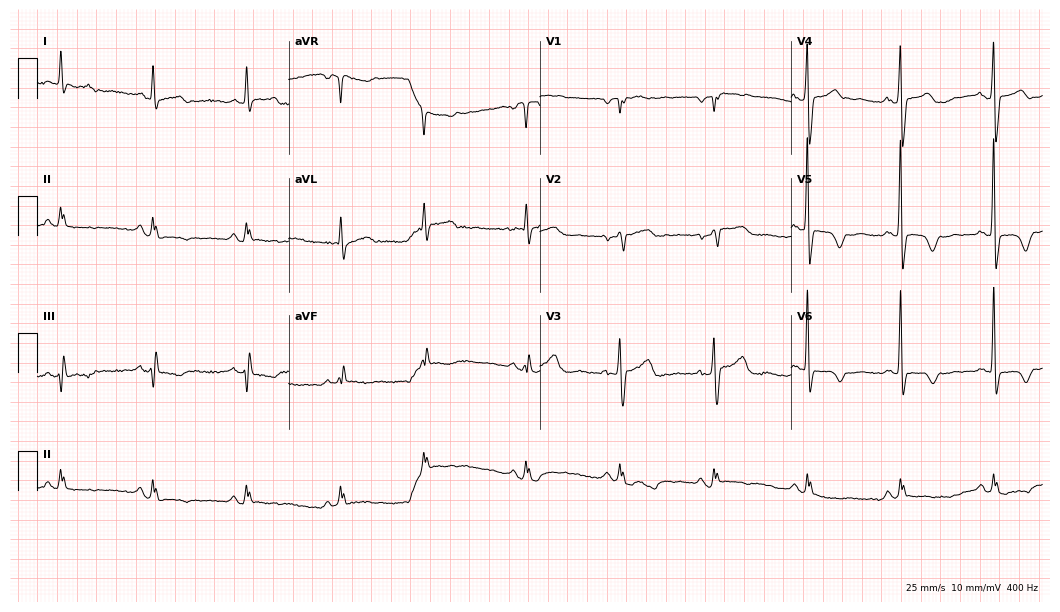
ECG — an 80-year-old male patient. Screened for six findings — first-degree AV block, right bundle branch block, left bundle branch block, sinus bradycardia, atrial fibrillation, sinus tachycardia — none is recorded. Findings outside these six are not listed.